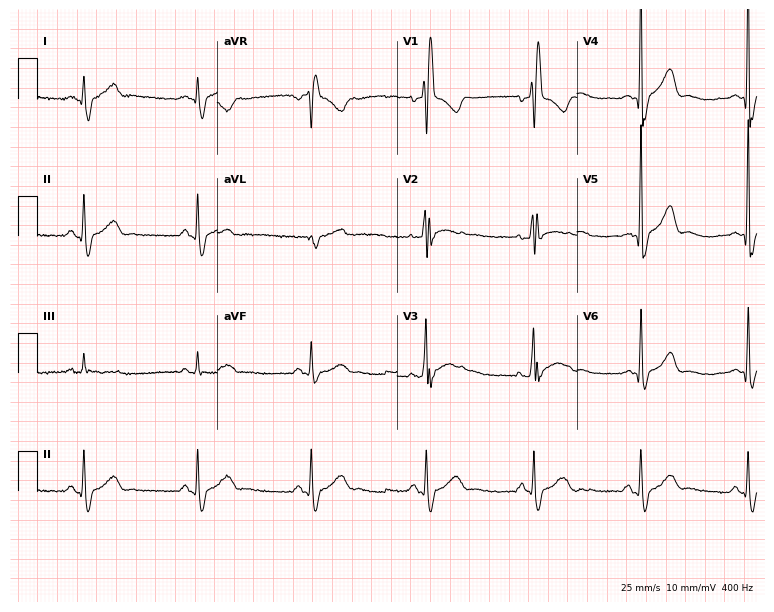
ECG — a male patient, 35 years old. Findings include right bundle branch block.